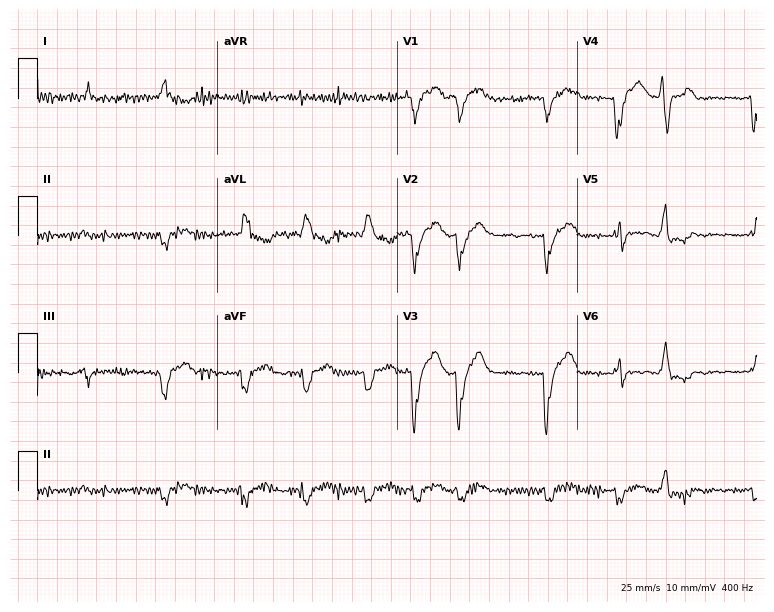
Standard 12-lead ECG recorded from a 64-year-old male. The tracing shows atrial fibrillation.